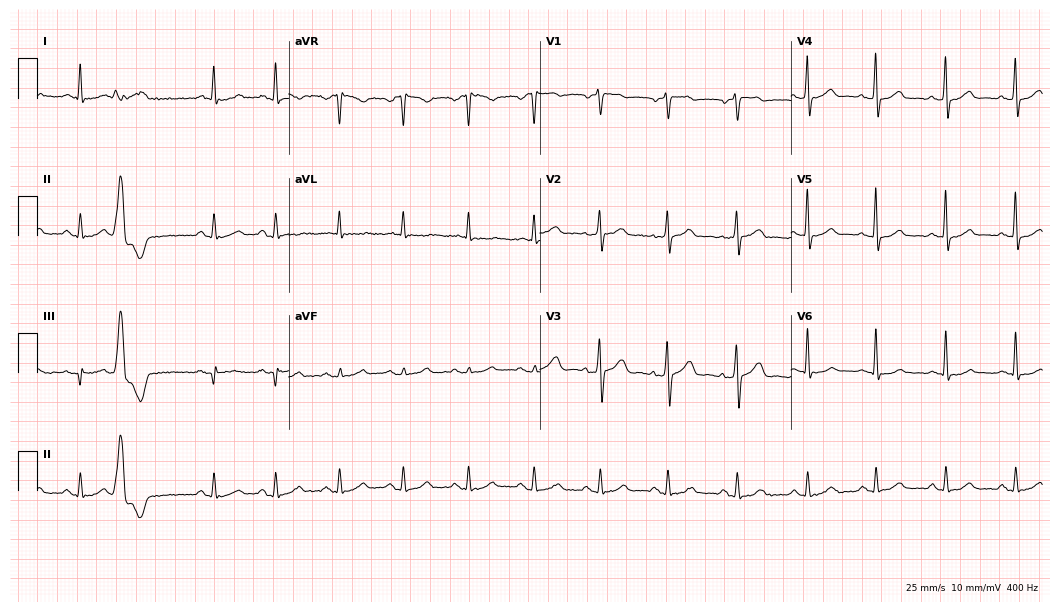
Resting 12-lead electrocardiogram (10.2-second recording at 400 Hz). Patient: a 78-year-old man. None of these six findings is recorded: first-degree AV block, right bundle branch block, left bundle branch block, sinus bradycardia, atrial fibrillation, sinus tachycardia.